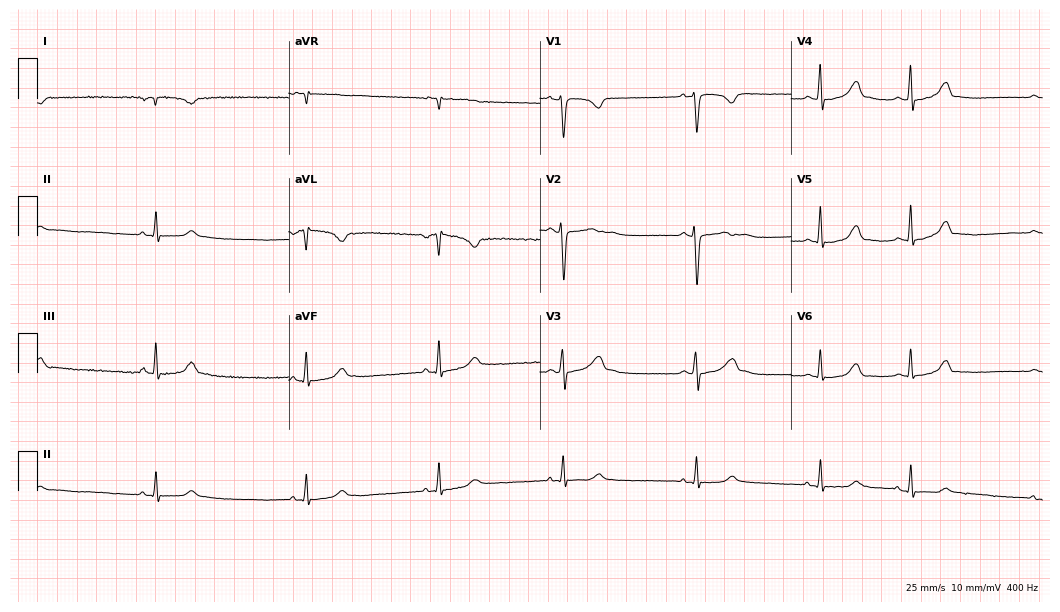
12-lead ECG (10.2-second recording at 400 Hz) from a woman, 22 years old. Labelled as a normal ECG.